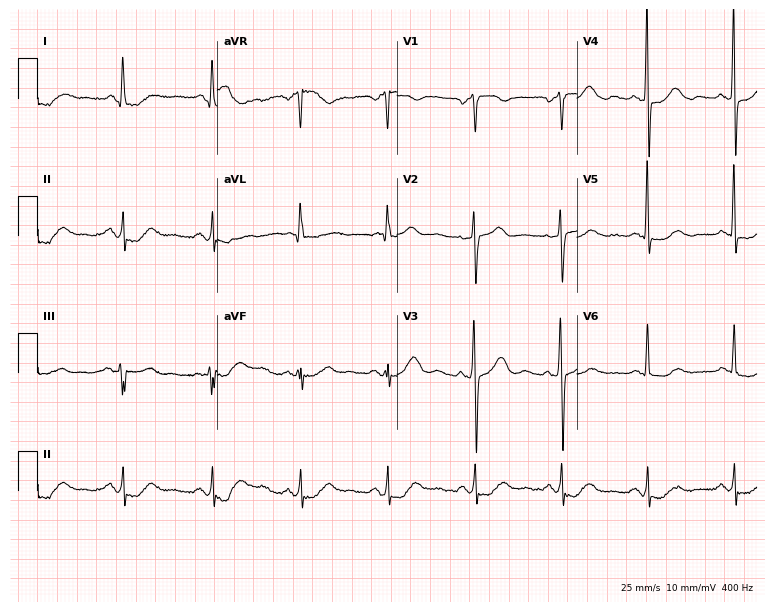
Electrocardiogram, a man, 54 years old. Of the six screened findings (first-degree AV block, right bundle branch block (RBBB), left bundle branch block (LBBB), sinus bradycardia, atrial fibrillation (AF), sinus tachycardia), none is recorded. Only these six findings were labelled.